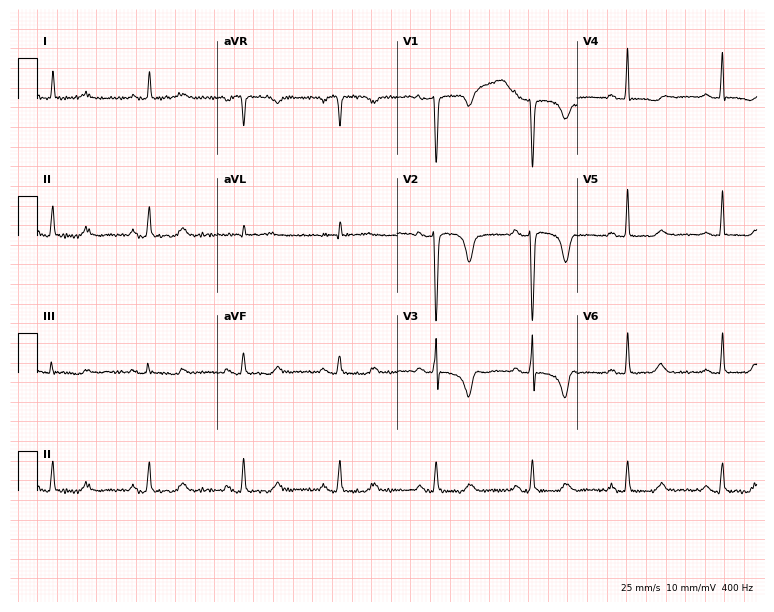
Standard 12-lead ECG recorded from a 60-year-old female patient. None of these six findings is recorded: first-degree AV block, right bundle branch block, left bundle branch block, sinus bradycardia, atrial fibrillation, sinus tachycardia.